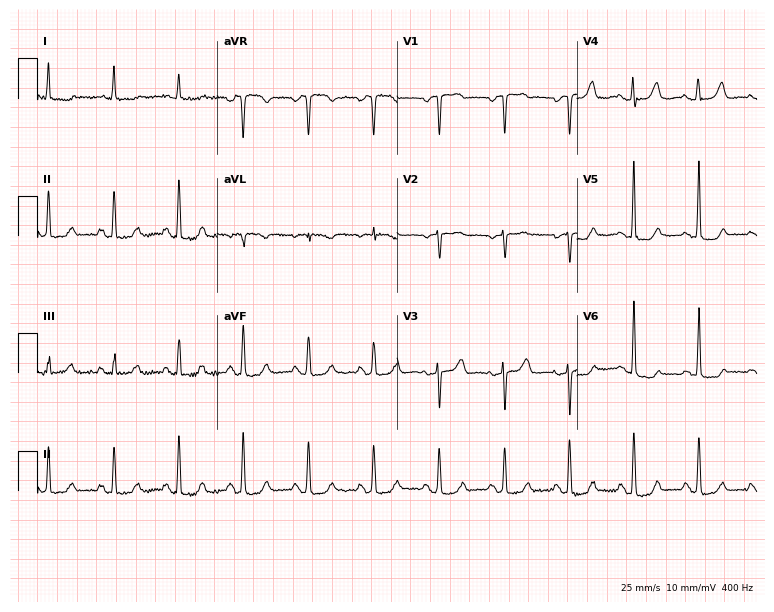
12-lead ECG (7.3-second recording at 400 Hz) from a female, 71 years old. Labelled as a normal ECG.